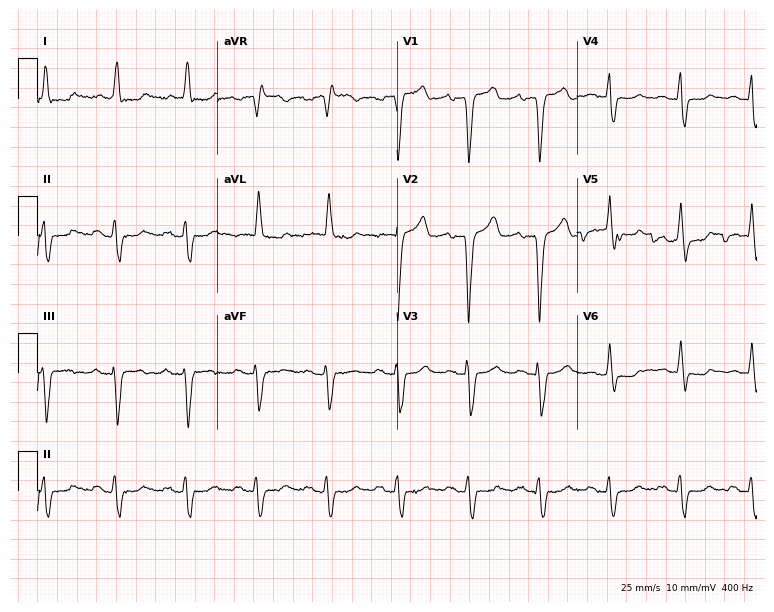
12-lead ECG from a female, 83 years old. Shows left bundle branch block (LBBB).